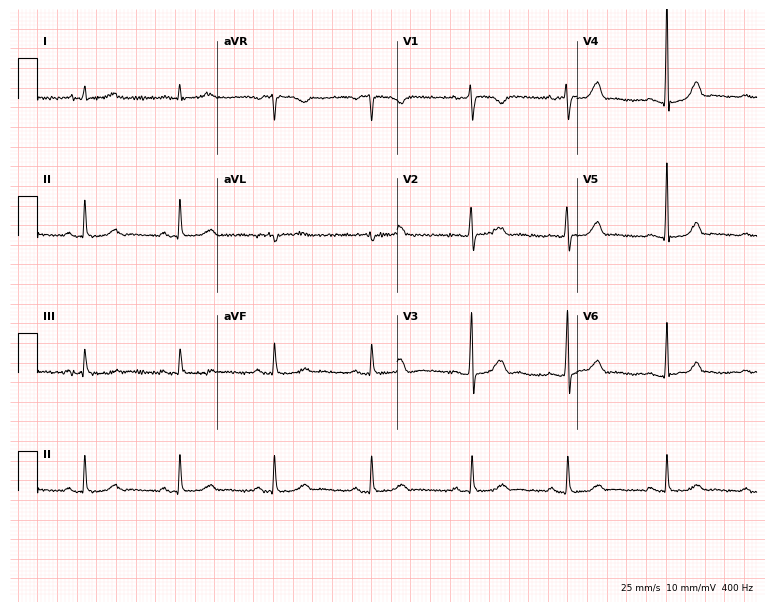
Standard 12-lead ECG recorded from a 51-year-old woman. Read as a normal ECG.